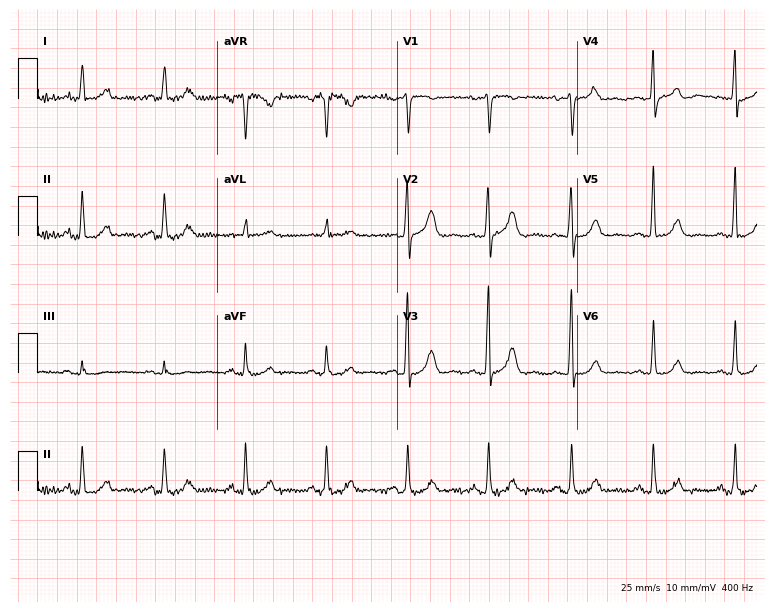
12-lead ECG from a 55-year-old female patient (7.3-second recording at 400 Hz). Recorded interpretation: within normal limits.